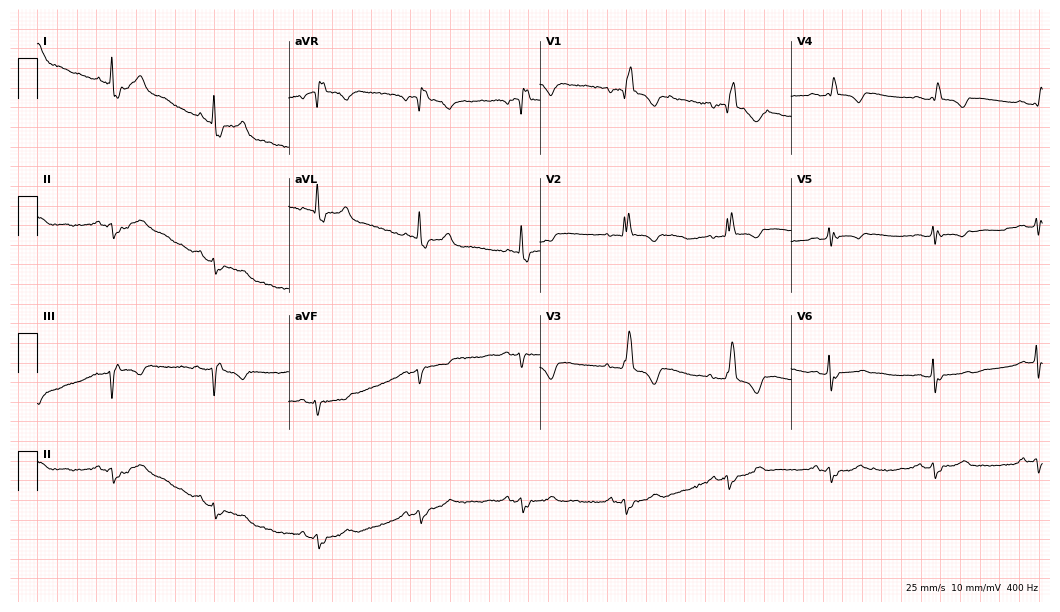
Standard 12-lead ECG recorded from a 77-year-old female. The tracing shows right bundle branch block.